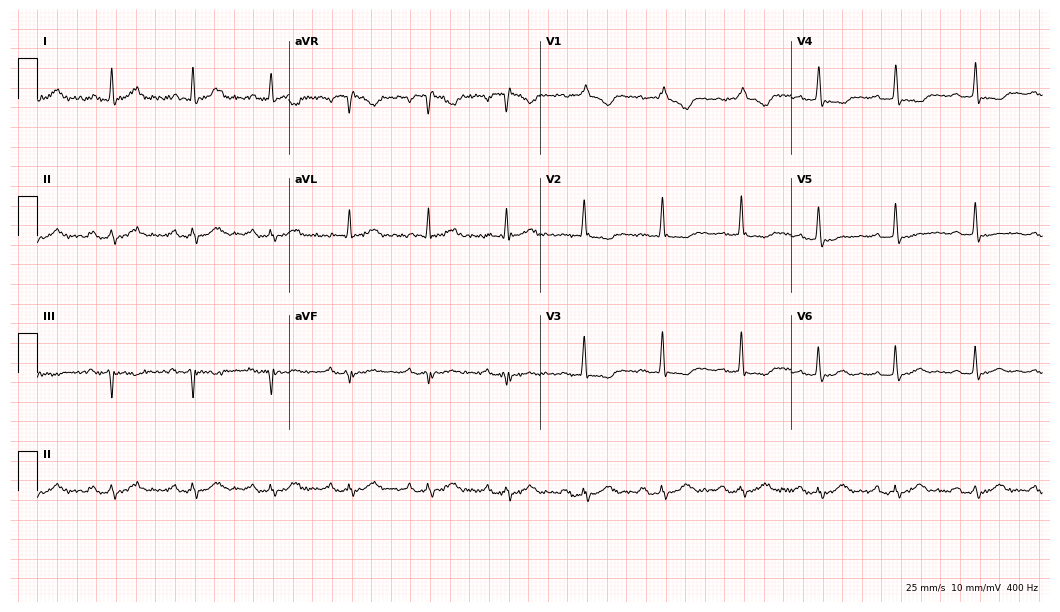
ECG — a female patient, 64 years old. Screened for six findings — first-degree AV block, right bundle branch block, left bundle branch block, sinus bradycardia, atrial fibrillation, sinus tachycardia — none is recorded. Only these six findings were labelled.